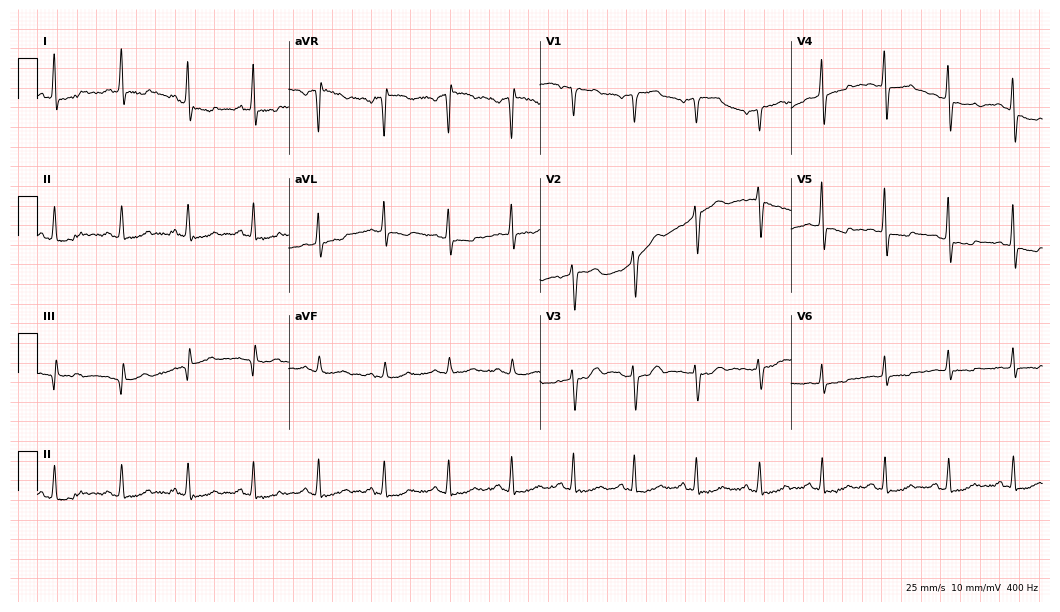
Resting 12-lead electrocardiogram. Patient: a man, 56 years old. None of these six findings is recorded: first-degree AV block, right bundle branch block, left bundle branch block, sinus bradycardia, atrial fibrillation, sinus tachycardia.